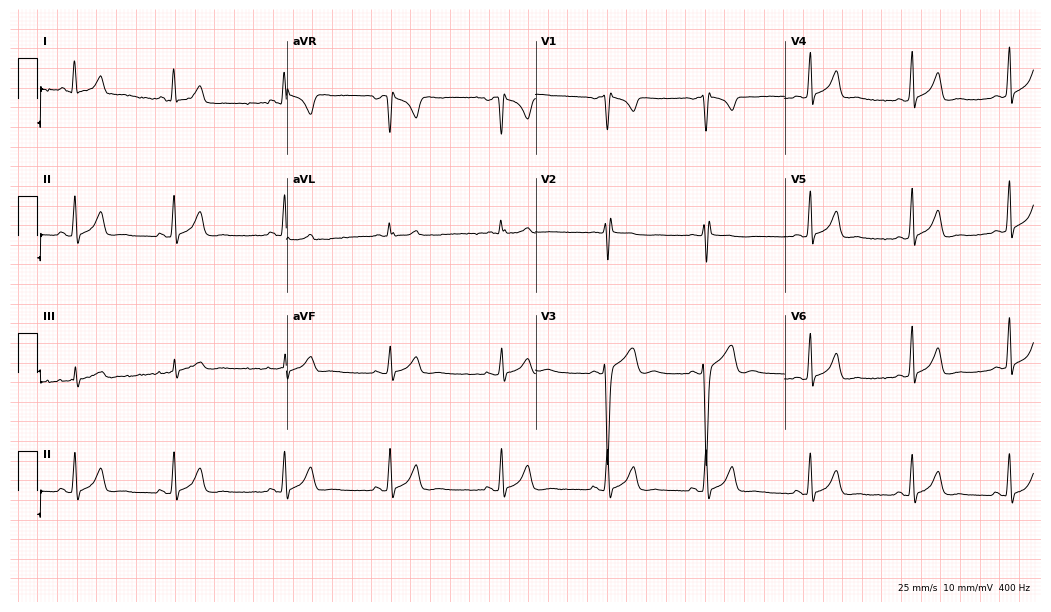
Standard 12-lead ECG recorded from a 27-year-old female patient. None of these six findings is recorded: first-degree AV block, right bundle branch block, left bundle branch block, sinus bradycardia, atrial fibrillation, sinus tachycardia. Other findings, if any, are not listed.